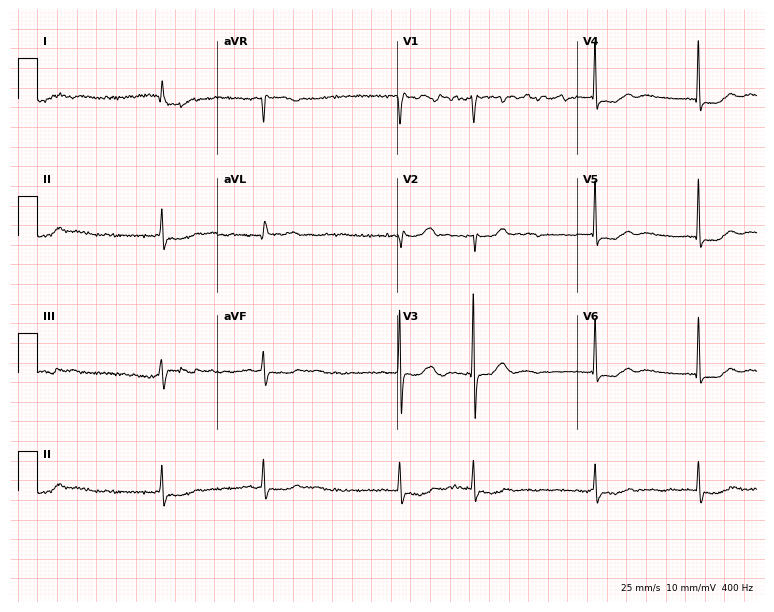
12-lead ECG from an 83-year-old female patient. Findings include atrial fibrillation.